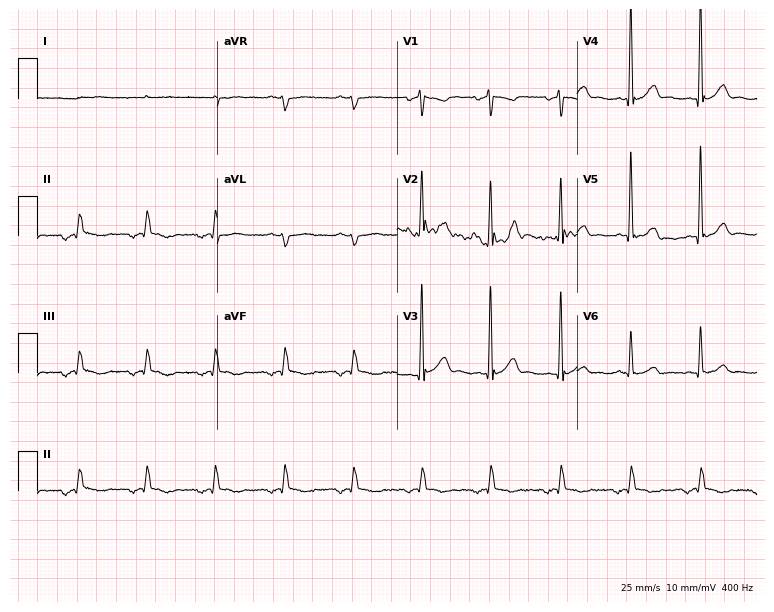
ECG (7.3-second recording at 400 Hz) — a 52-year-old male. Screened for six findings — first-degree AV block, right bundle branch block (RBBB), left bundle branch block (LBBB), sinus bradycardia, atrial fibrillation (AF), sinus tachycardia — none is recorded.